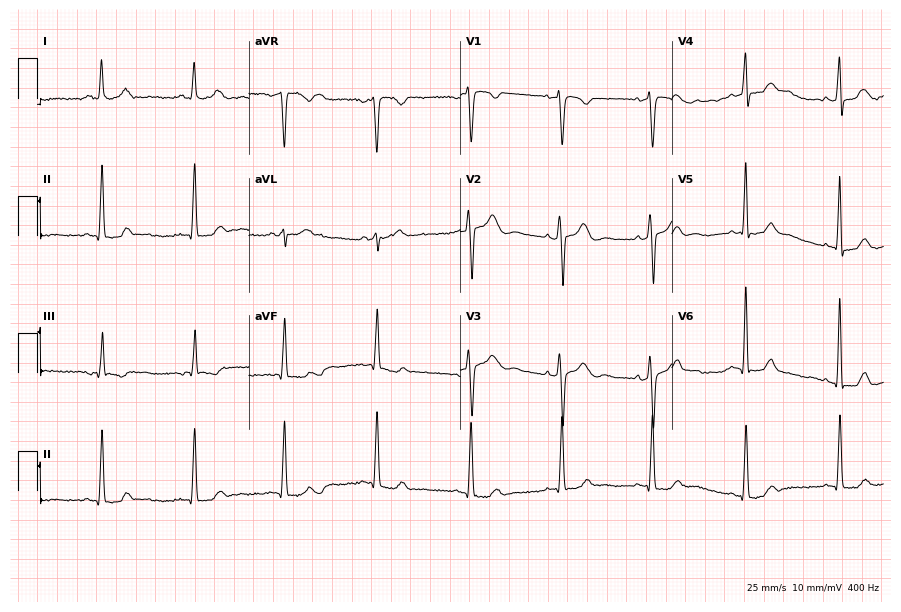
Resting 12-lead electrocardiogram. Patient: a 39-year-old woman. Read as a normal ECG.